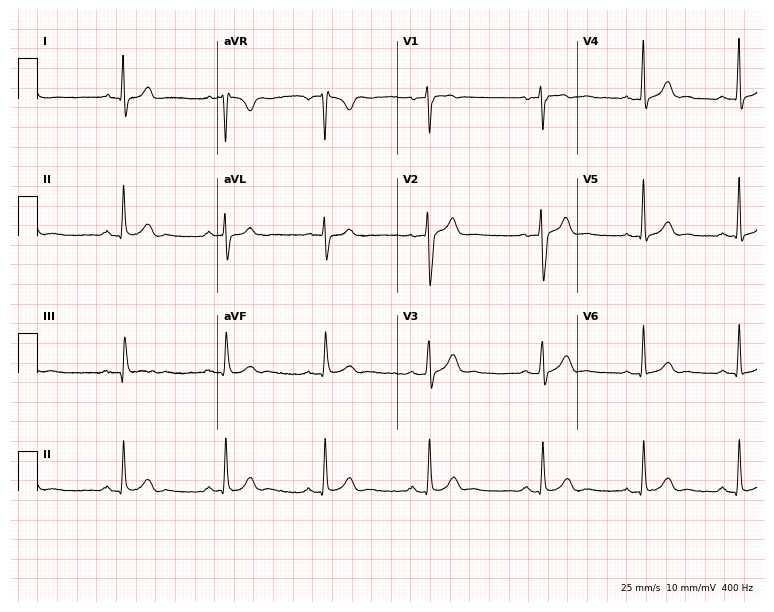
Resting 12-lead electrocardiogram. Patient: a male, 28 years old. Read as a normal ECG.